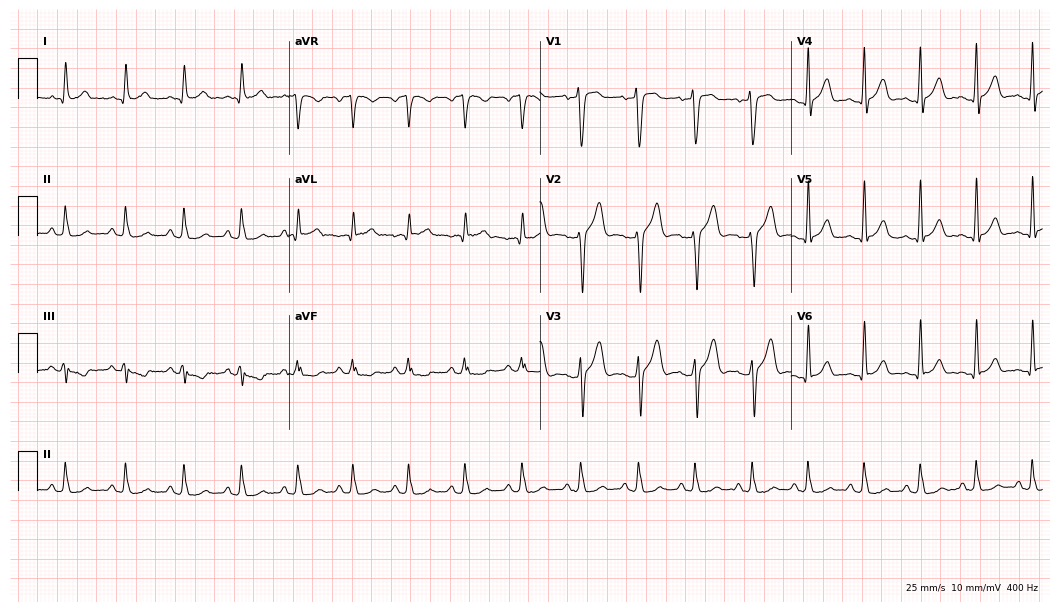
12-lead ECG from a 24-year-old male (10.2-second recording at 400 Hz). Shows sinus tachycardia (a sinus rate of 100 beats per minute or more).